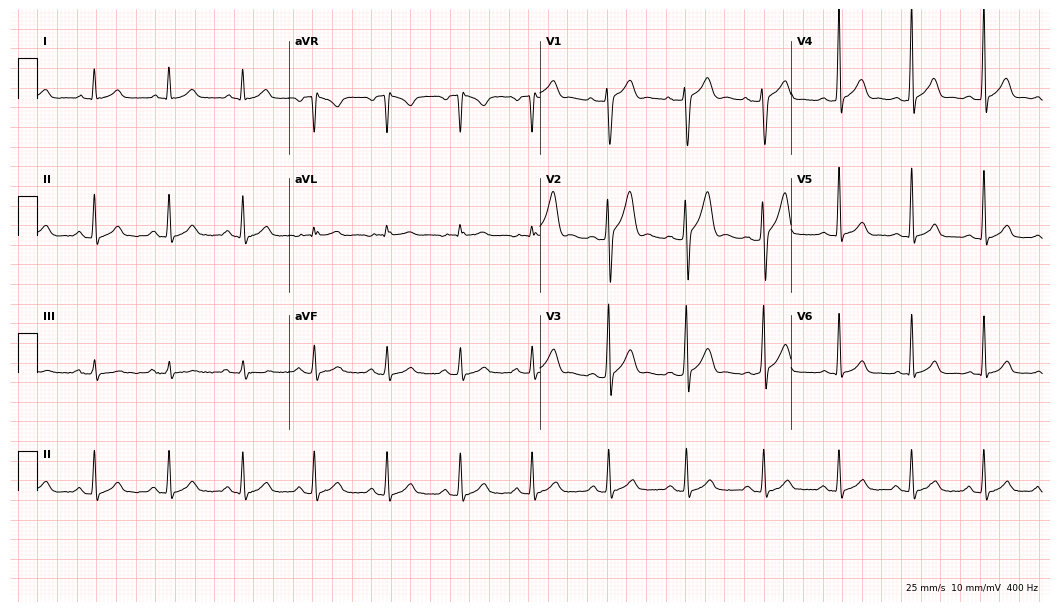
12-lead ECG (10.2-second recording at 400 Hz) from a 22-year-old male patient. Labelled as a normal ECG.